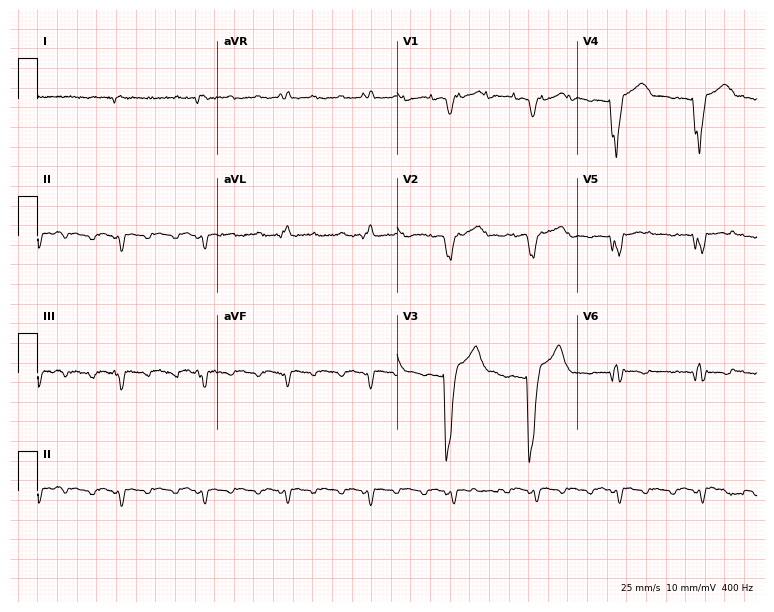
ECG (7.3-second recording at 400 Hz) — a 65-year-old man. Screened for six findings — first-degree AV block, right bundle branch block, left bundle branch block, sinus bradycardia, atrial fibrillation, sinus tachycardia — none is recorded. Other findings, if any, are not listed.